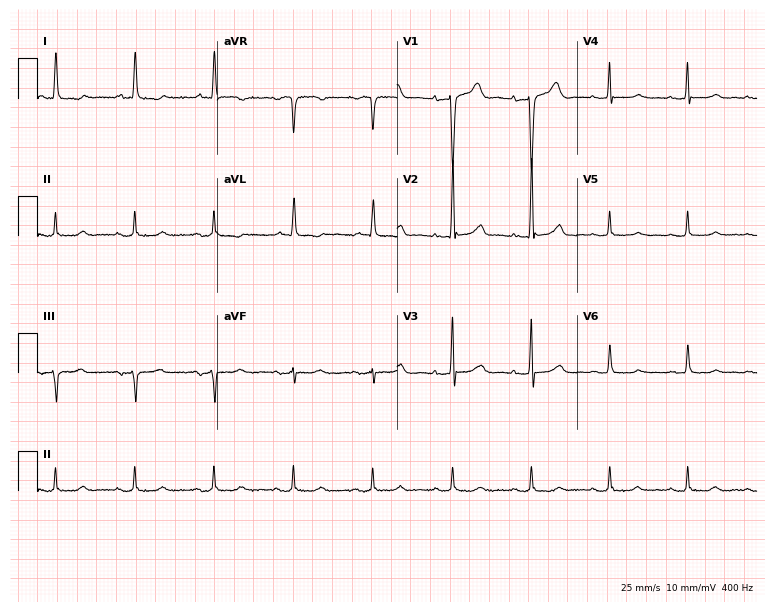
Electrocardiogram, a female, 67 years old. Of the six screened findings (first-degree AV block, right bundle branch block, left bundle branch block, sinus bradycardia, atrial fibrillation, sinus tachycardia), none is recorded. Other findings, if any, are not listed.